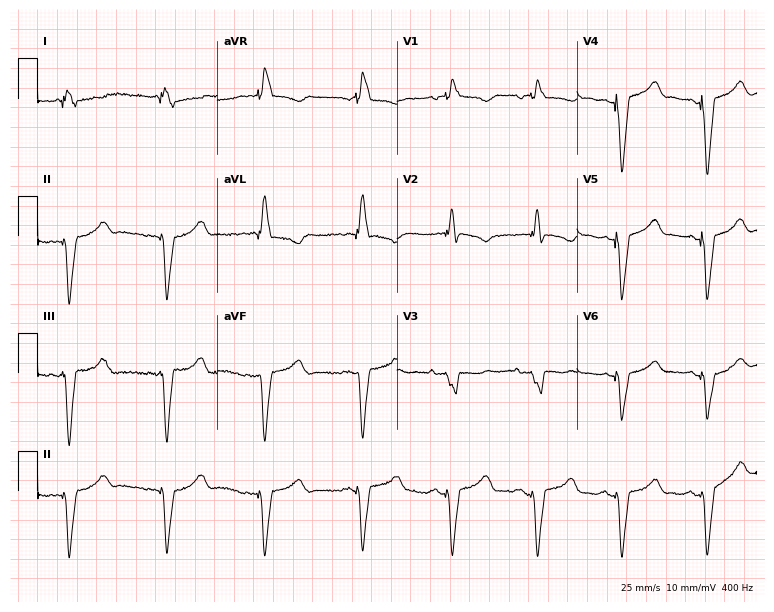
12-lead ECG from a 79-year-old woman. No first-degree AV block, right bundle branch block (RBBB), left bundle branch block (LBBB), sinus bradycardia, atrial fibrillation (AF) or sinus tachycardia recorded for this tracing.